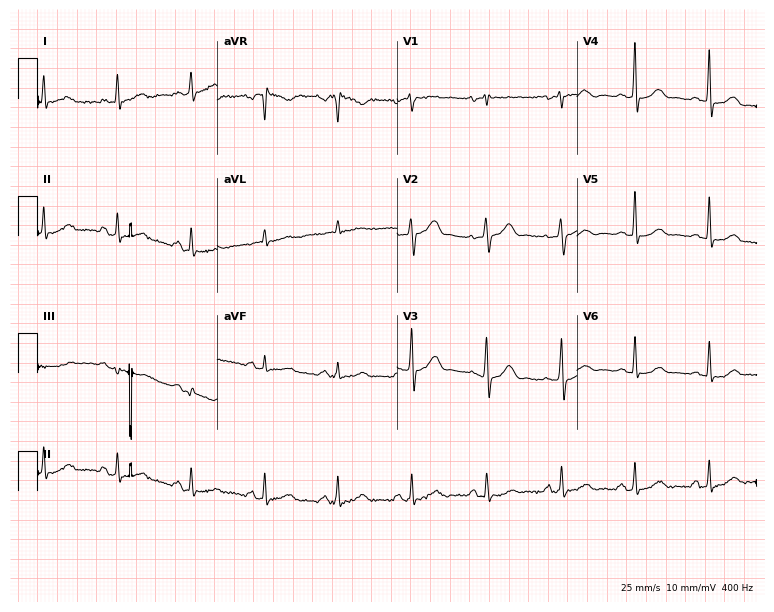
12-lead ECG from a male patient, 66 years old (7.3-second recording at 400 Hz). No first-degree AV block, right bundle branch block (RBBB), left bundle branch block (LBBB), sinus bradycardia, atrial fibrillation (AF) or sinus tachycardia recorded for this tracing.